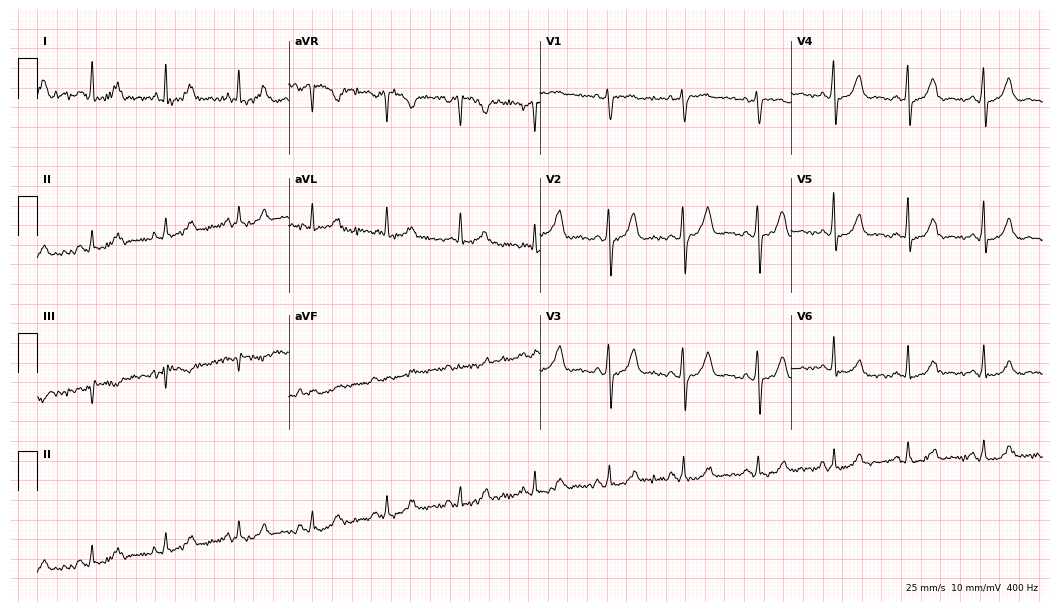
12-lead ECG (10.2-second recording at 400 Hz) from a female patient, 72 years old. Labelled as a normal ECG.